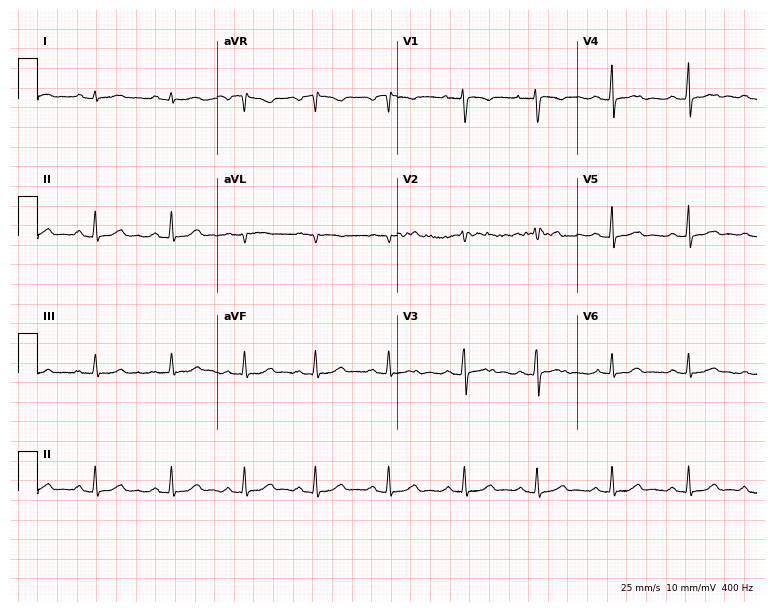
ECG (7.3-second recording at 400 Hz) — a female patient, 32 years old. Labelled as a normal ECG.